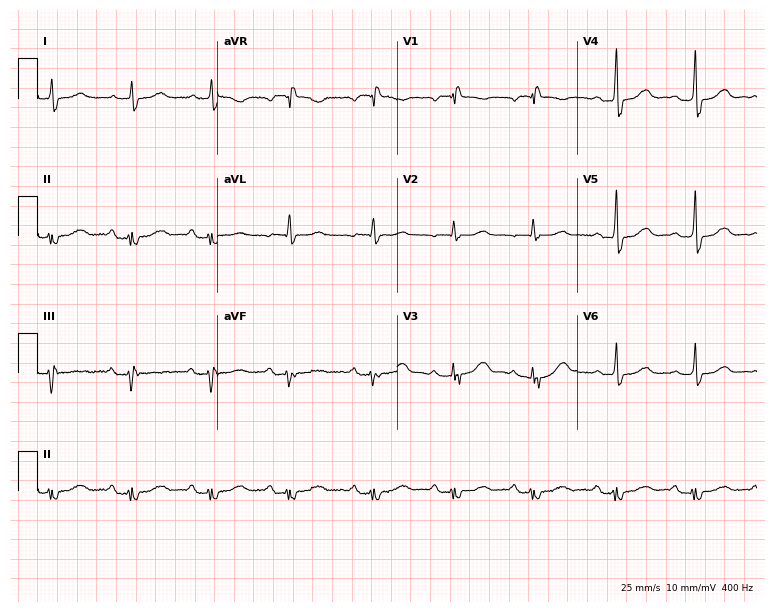
12-lead ECG from a woman, 80 years old. Shows first-degree AV block, right bundle branch block (RBBB).